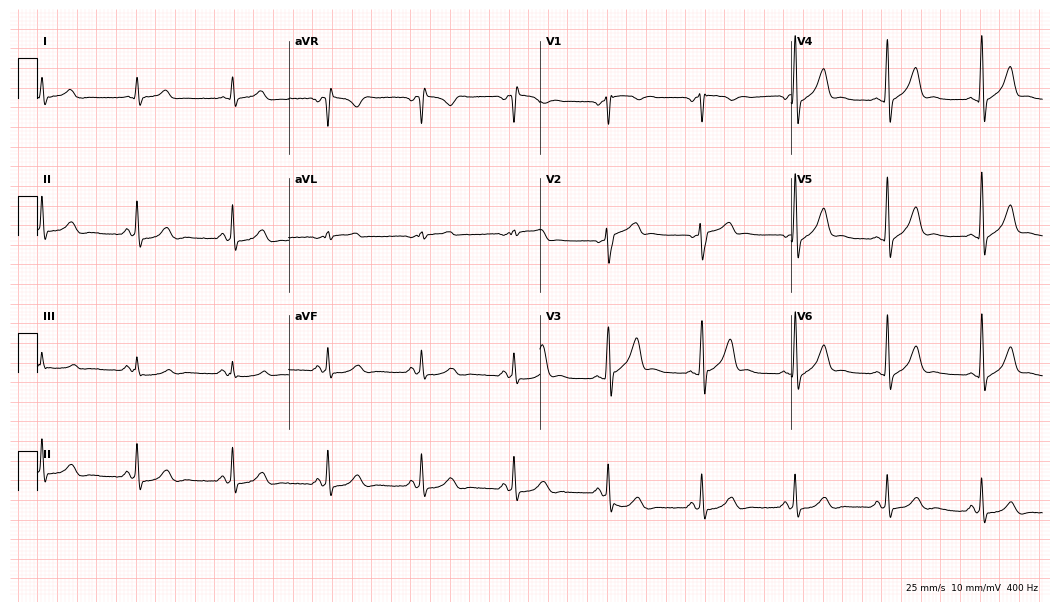
Electrocardiogram, a 51-year-old man. Overall reading on record: normal ECG.